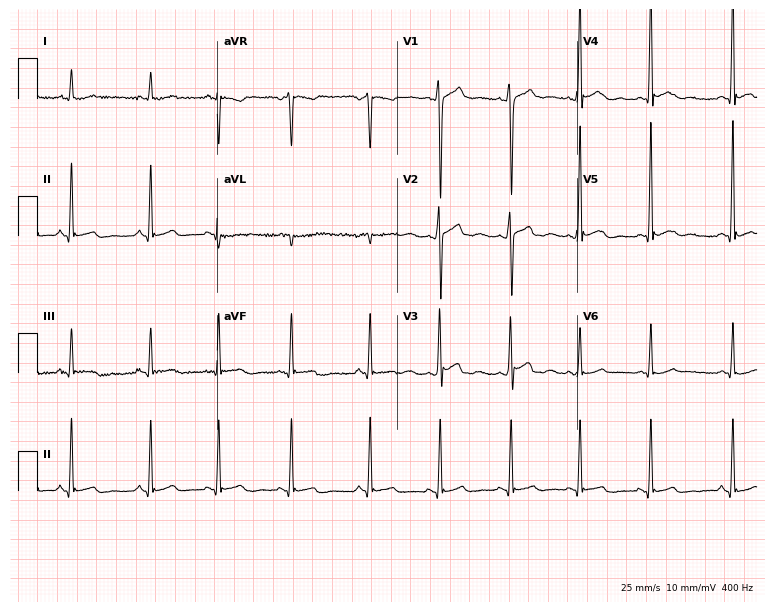
Standard 12-lead ECG recorded from an 18-year-old male patient (7.3-second recording at 400 Hz). Read as a normal ECG.